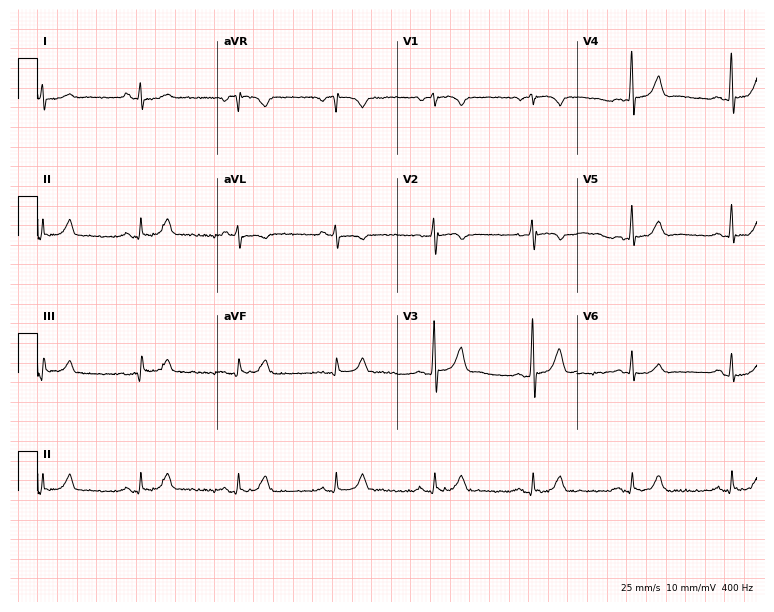
12-lead ECG from a man, 63 years old. Recorded interpretation: within normal limits.